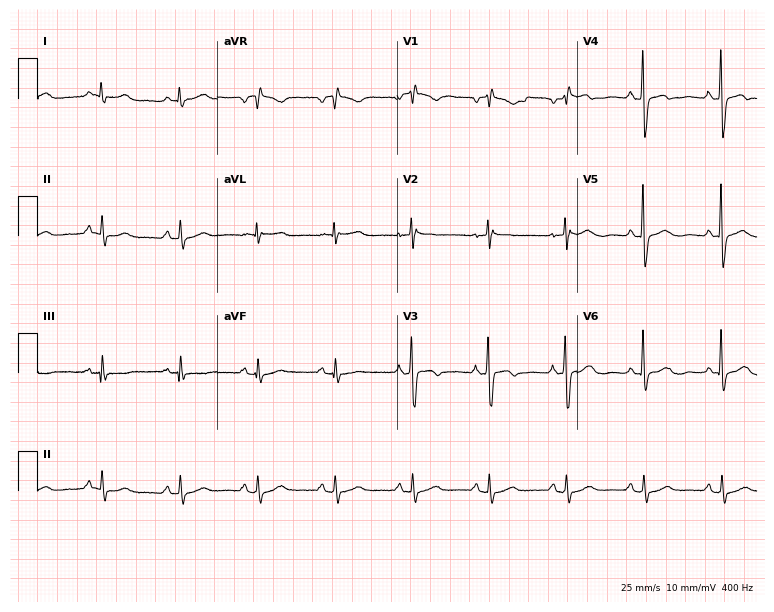
Resting 12-lead electrocardiogram (7.3-second recording at 400 Hz). Patient: a man, 57 years old. Read as a normal ECG.